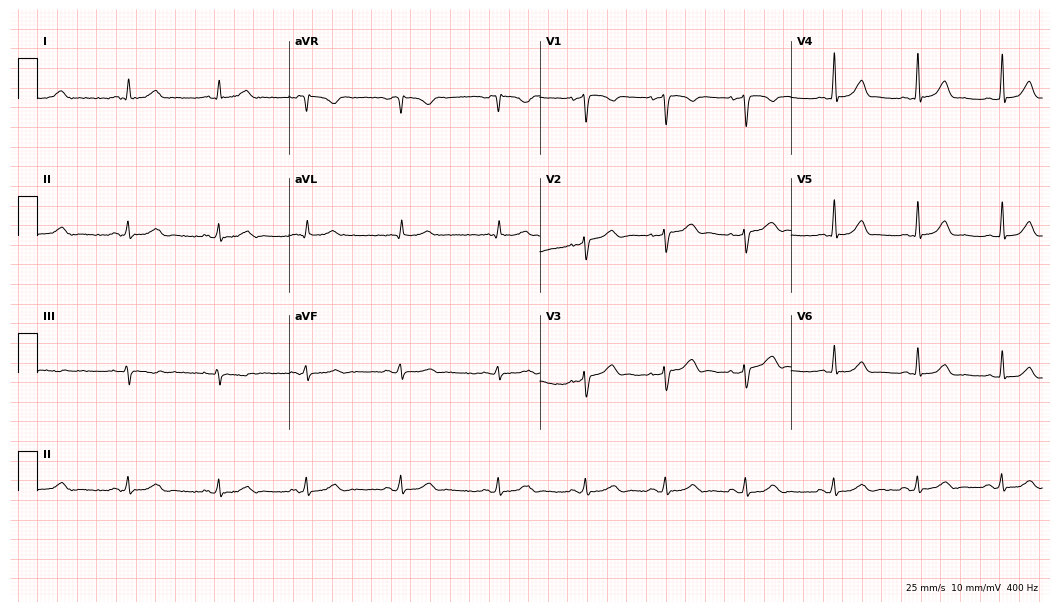
12-lead ECG (10.2-second recording at 400 Hz) from a female patient, 23 years old. Labelled as a normal ECG.